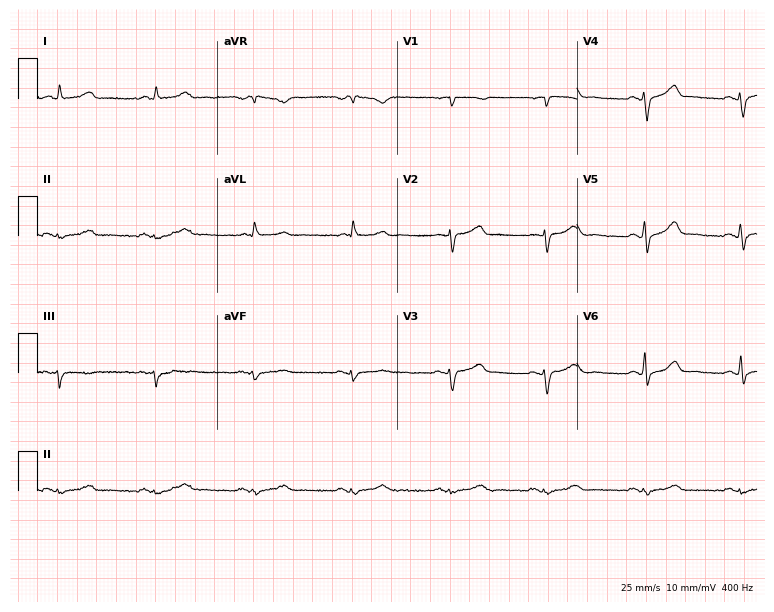
12-lead ECG from a male, 74 years old. Recorded interpretation: within normal limits.